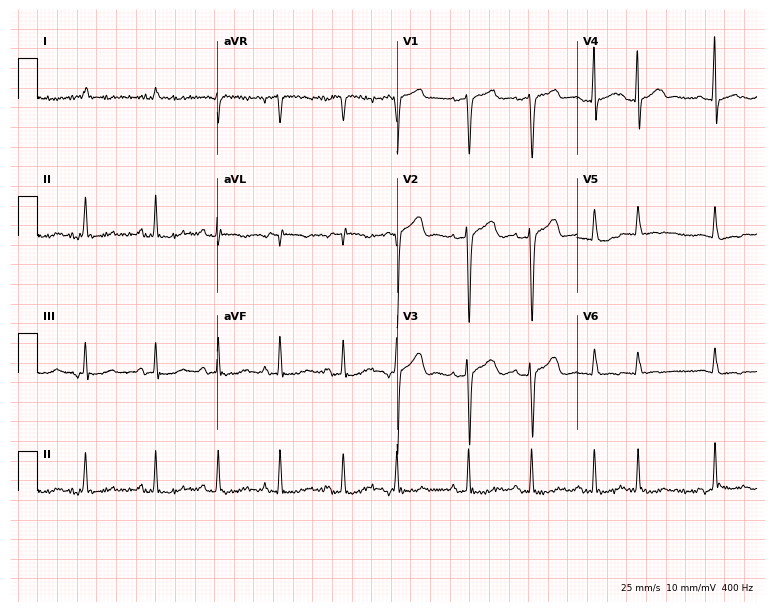
ECG (7.3-second recording at 400 Hz) — a male patient, 84 years old. Screened for six findings — first-degree AV block, right bundle branch block, left bundle branch block, sinus bradycardia, atrial fibrillation, sinus tachycardia — none is recorded.